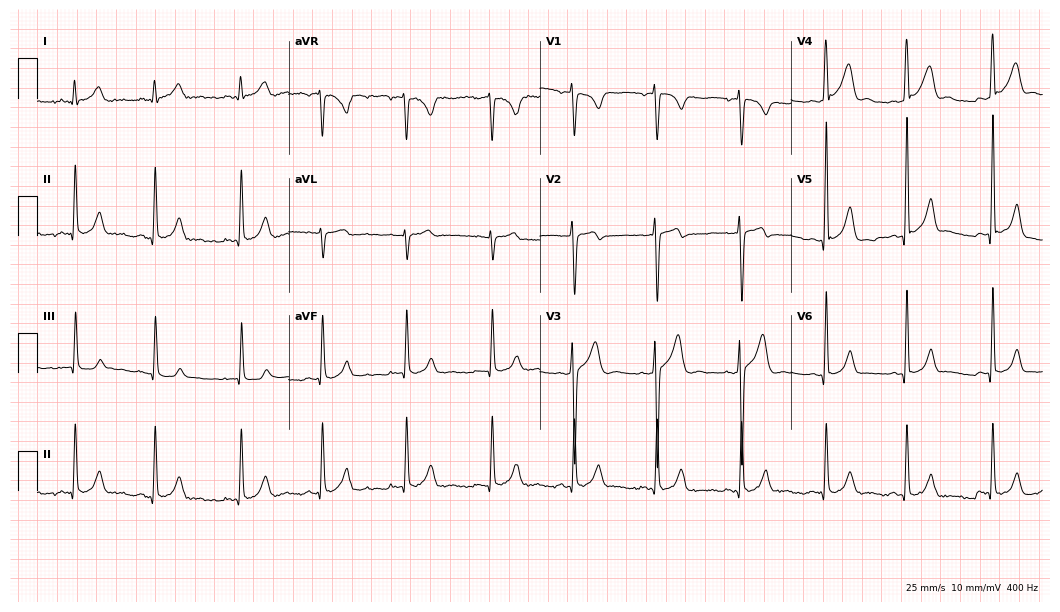
12-lead ECG from a 22-year-old man. Labelled as a normal ECG.